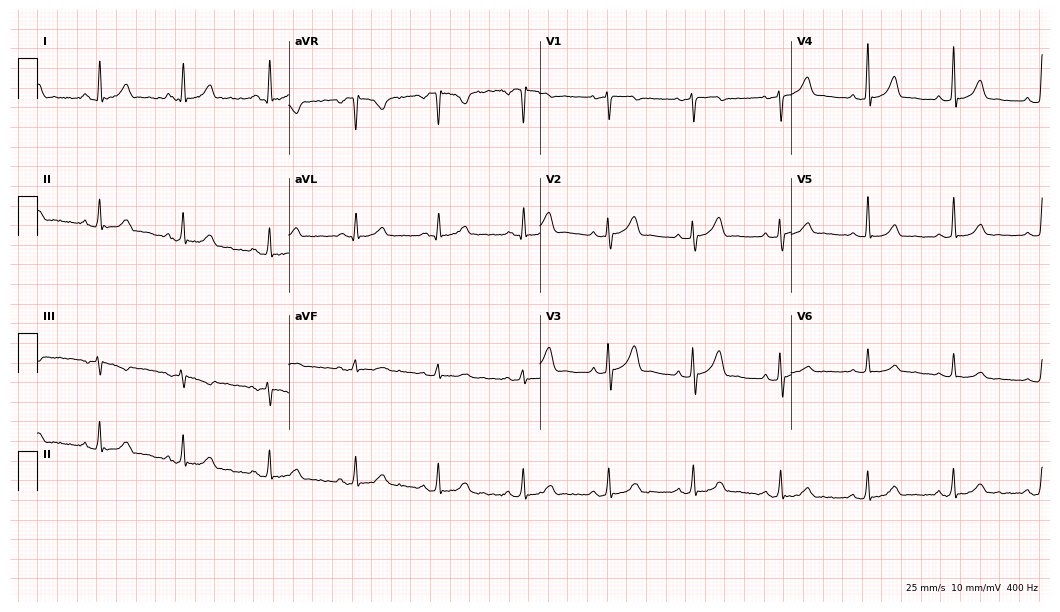
12-lead ECG from a 37-year-old female (10.2-second recording at 400 Hz). Recorded interpretation: within normal limits.